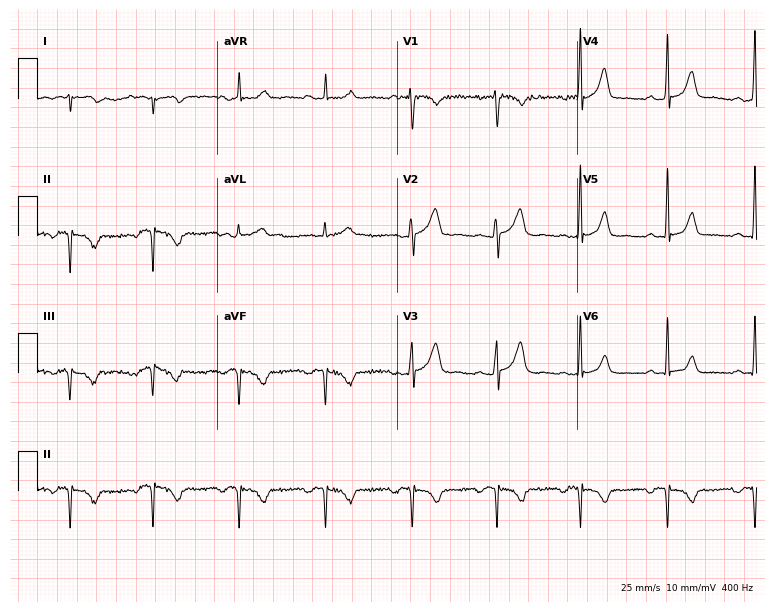
Standard 12-lead ECG recorded from a 34-year-old female. None of these six findings is recorded: first-degree AV block, right bundle branch block (RBBB), left bundle branch block (LBBB), sinus bradycardia, atrial fibrillation (AF), sinus tachycardia. Only these six findings were labelled.